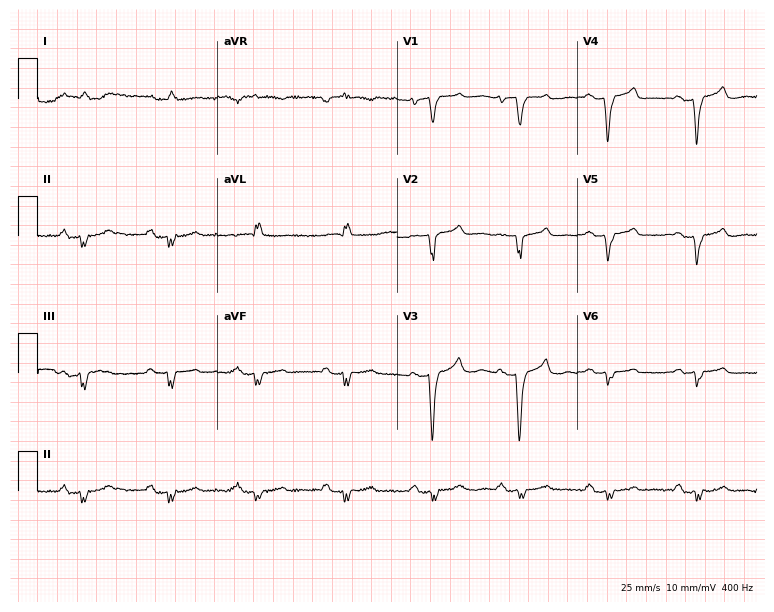
Electrocardiogram (7.3-second recording at 400 Hz), a 72-year-old female. Of the six screened findings (first-degree AV block, right bundle branch block, left bundle branch block, sinus bradycardia, atrial fibrillation, sinus tachycardia), none is recorded. Other findings, if any, are not listed.